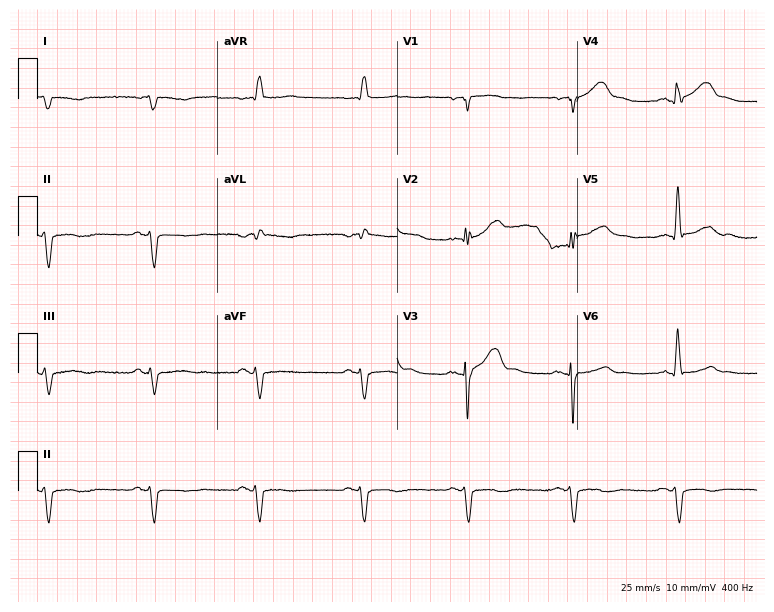
12-lead ECG from a 61-year-old male patient. Screened for six findings — first-degree AV block, right bundle branch block (RBBB), left bundle branch block (LBBB), sinus bradycardia, atrial fibrillation (AF), sinus tachycardia — none is recorded.